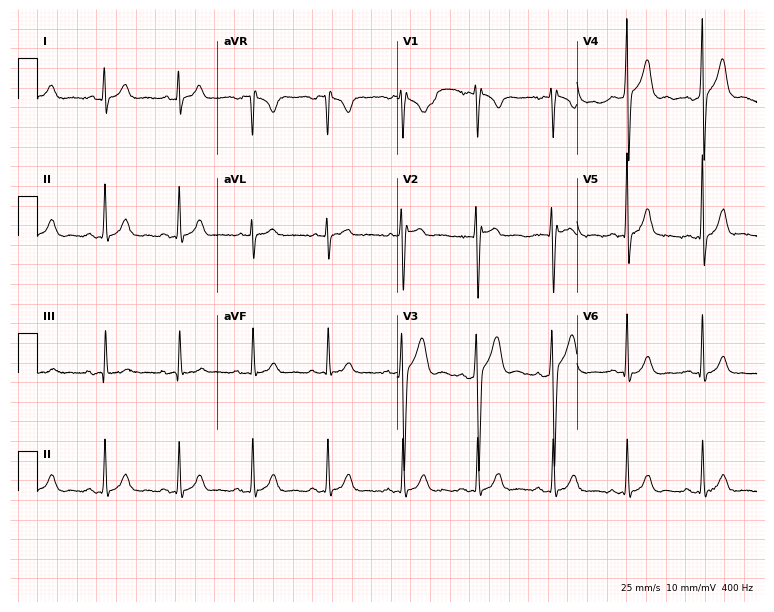
12-lead ECG from a 27-year-old man. Labelled as a normal ECG.